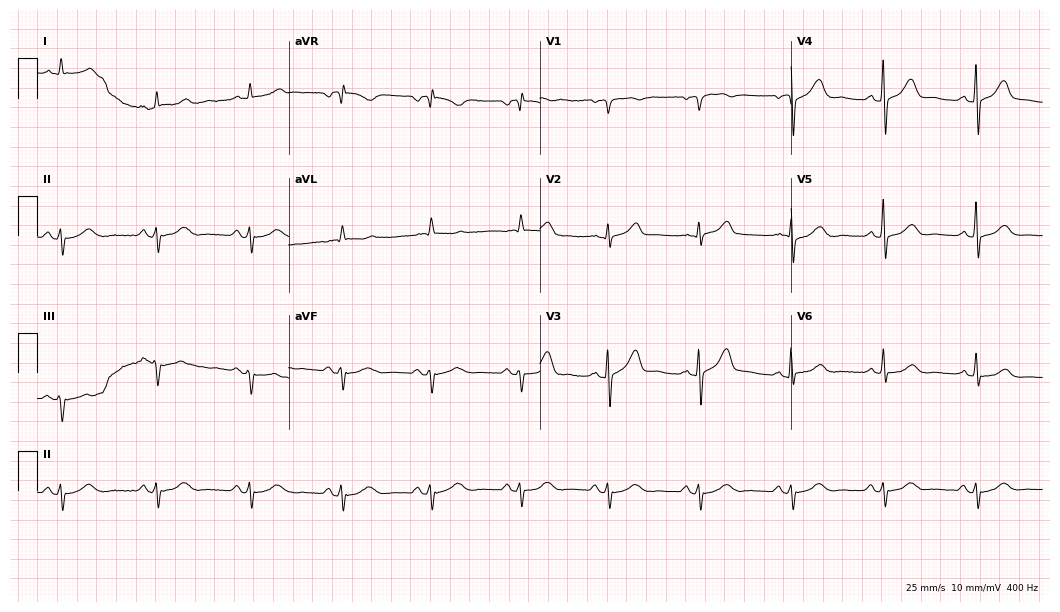
12-lead ECG from a 77-year-old man. Screened for six findings — first-degree AV block, right bundle branch block, left bundle branch block, sinus bradycardia, atrial fibrillation, sinus tachycardia — none is recorded.